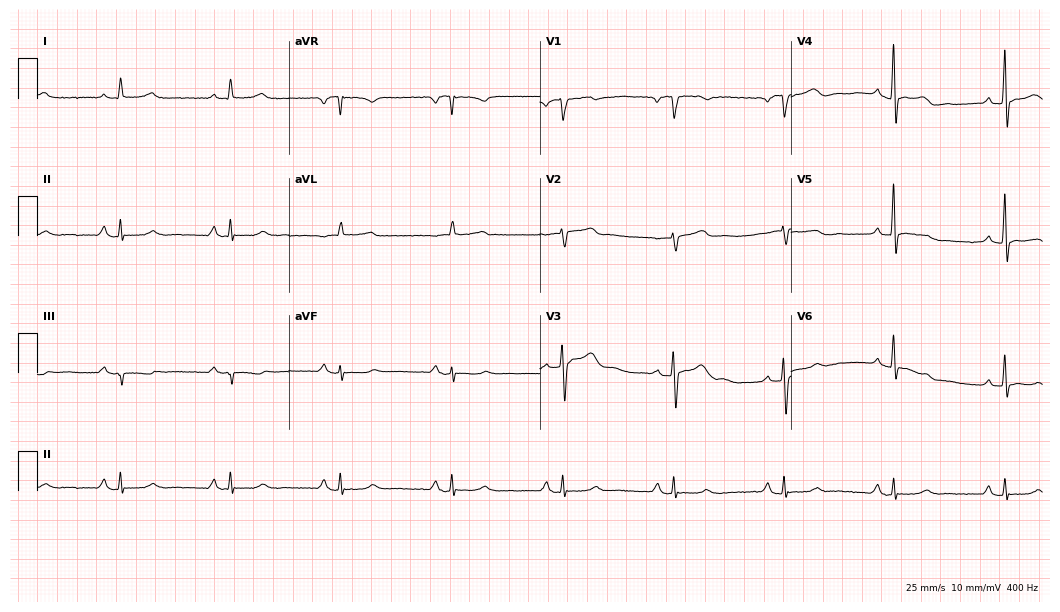
Electrocardiogram, a 64-year-old male. Interpretation includes sinus bradycardia (a sinus rate of 50 beats per minute or less).